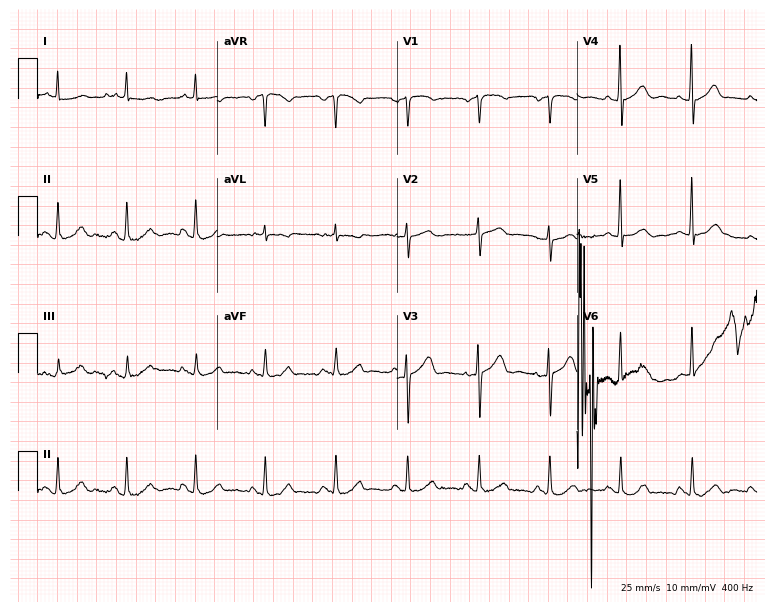
Electrocardiogram, a female, 78 years old. Overall reading on record: normal ECG.